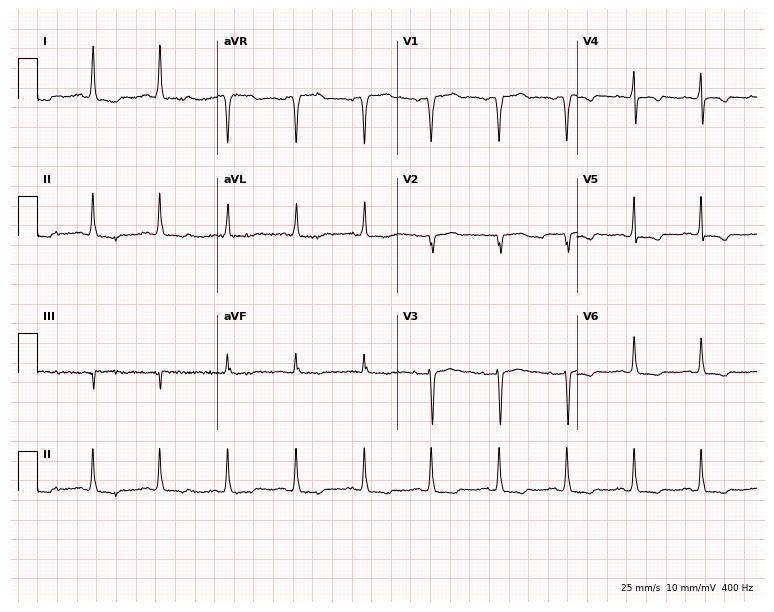
ECG — a woman, 49 years old. Screened for six findings — first-degree AV block, right bundle branch block, left bundle branch block, sinus bradycardia, atrial fibrillation, sinus tachycardia — none is recorded. Findings outside these six are not listed.